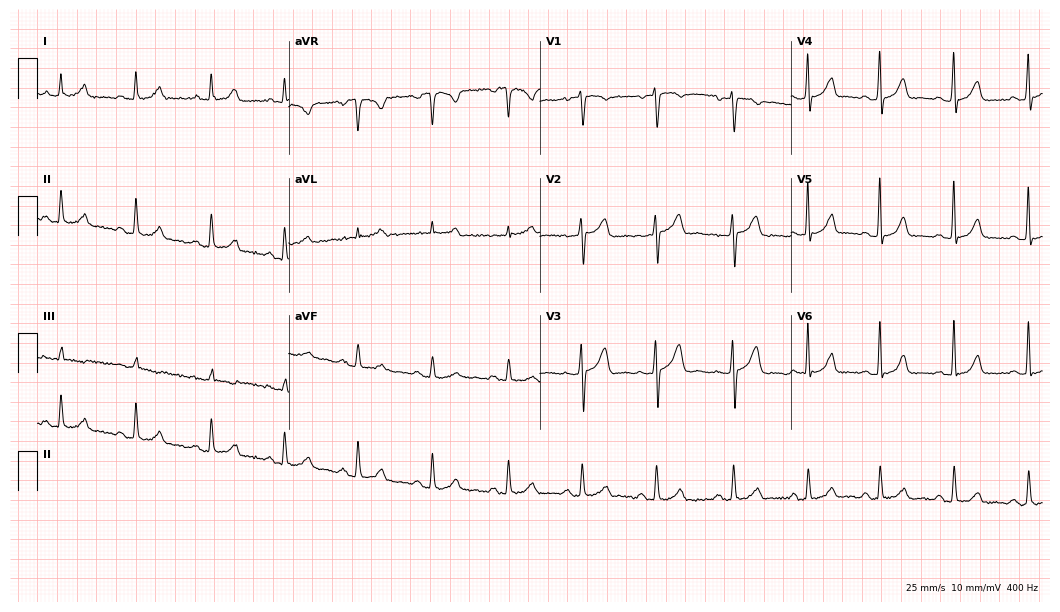
Resting 12-lead electrocardiogram (10.2-second recording at 400 Hz). Patient: a 37-year-old female. Read as a normal ECG.